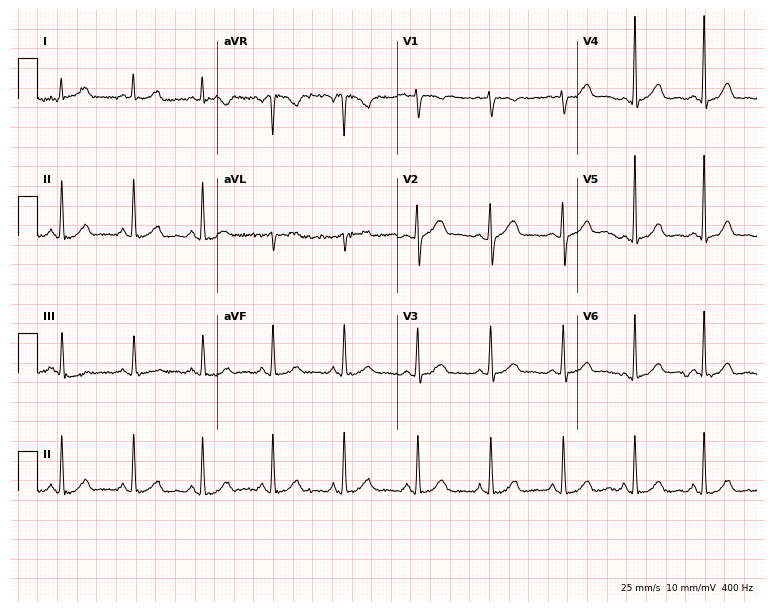
12-lead ECG from a woman, 47 years old. Recorded interpretation: within normal limits.